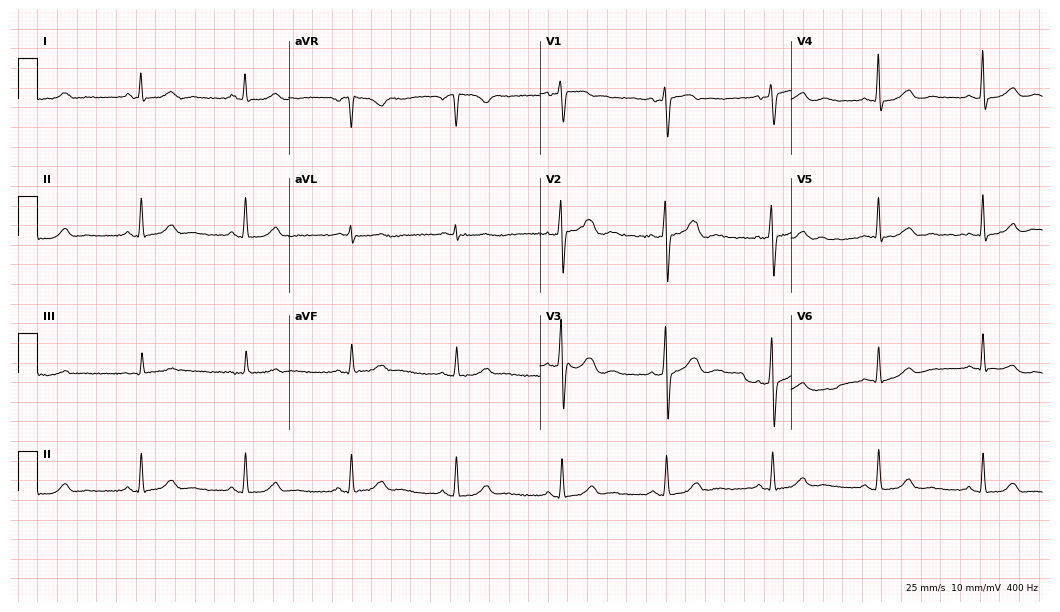
ECG (10.2-second recording at 400 Hz) — a 52-year-old female. Labelled as a normal ECG.